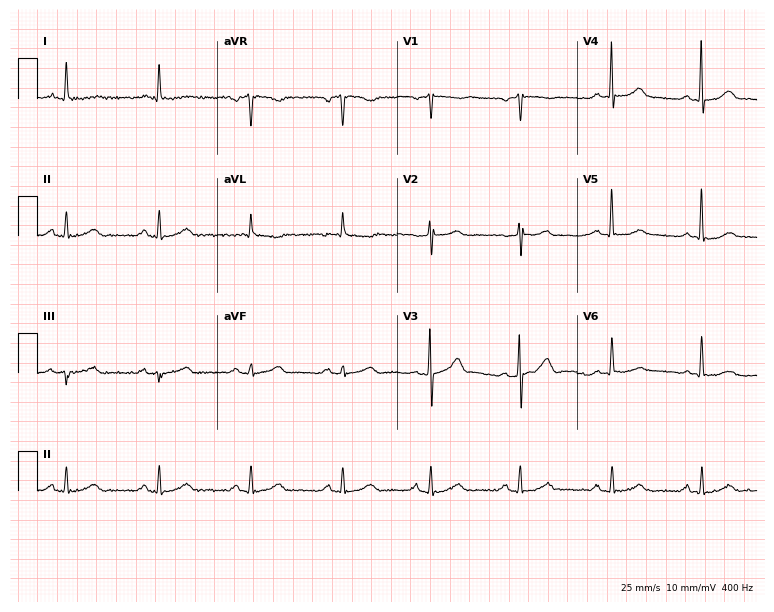
Standard 12-lead ECG recorded from a 66-year-old female patient (7.3-second recording at 400 Hz). None of these six findings is recorded: first-degree AV block, right bundle branch block, left bundle branch block, sinus bradycardia, atrial fibrillation, sinus tachycardia. Only these six findings were labelled.